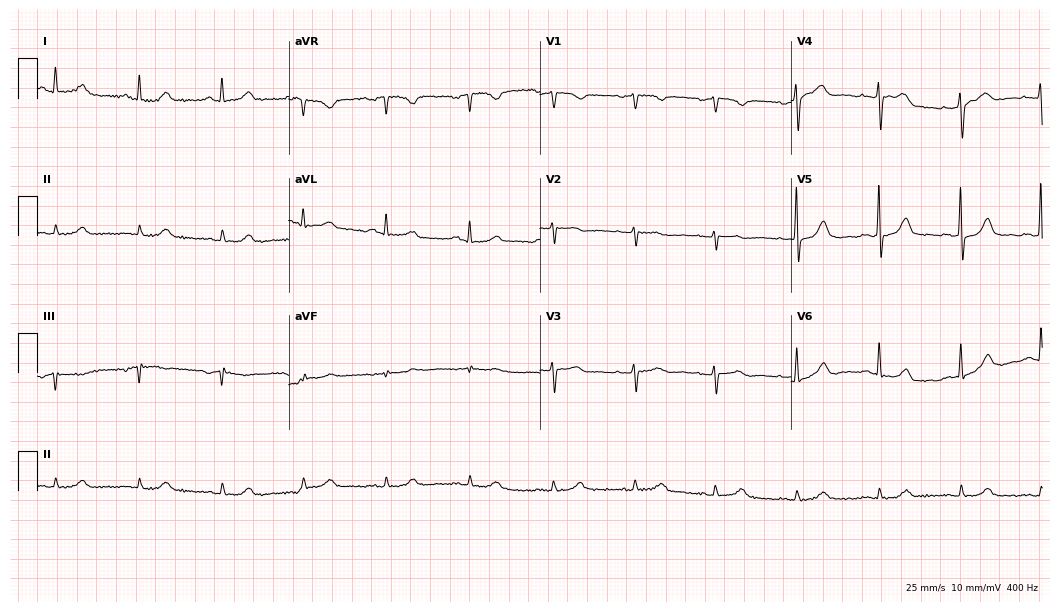
12-lead ECG from a 71-year-old female. Recorded interpretation: within normal limits.